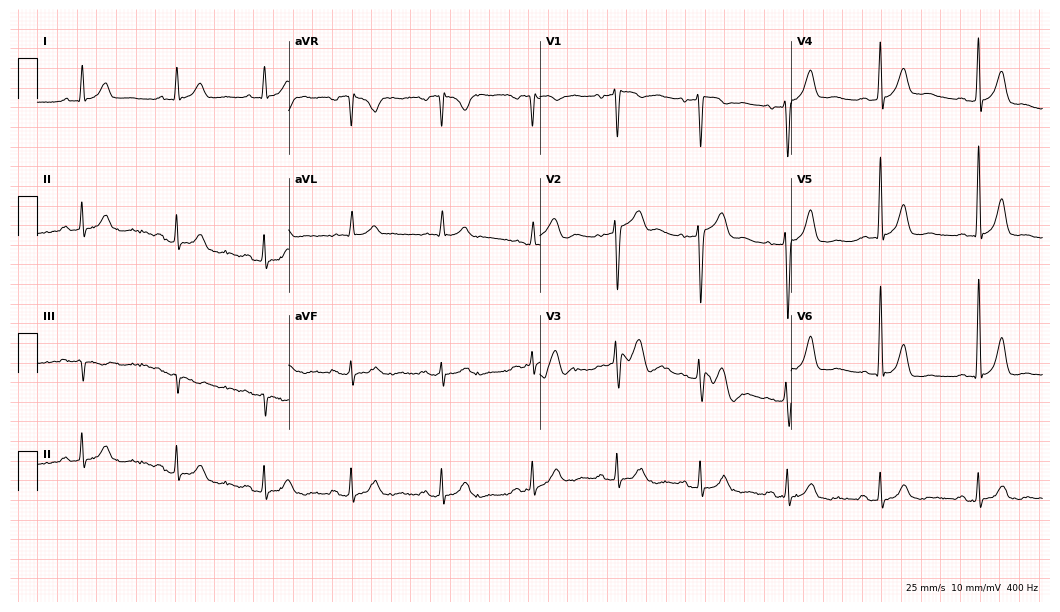
Resting 12-lead electrocardiogram (10.2-second recording at 400 Hz). Patient: a man, 48 years old. Read as a normal ECG.